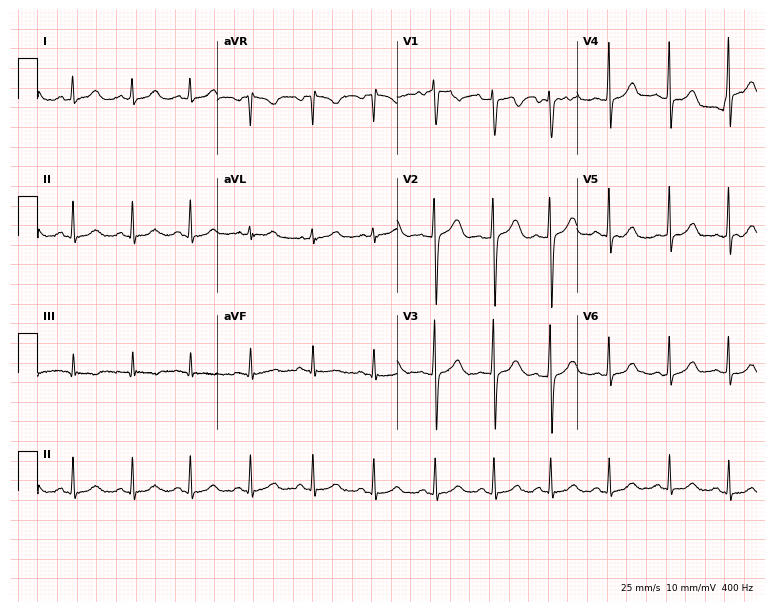
Standard 12-lead ECG recorded from a female patient, 22 years old (7.3-second recording at 400 Hz). None of these six findings is recorded: first-degree AV block, right bundle branch block, left bundle branch block, sinus bradycardia, atrial fibrillation, sinus tachycardia. Findings outside these six are not listed.